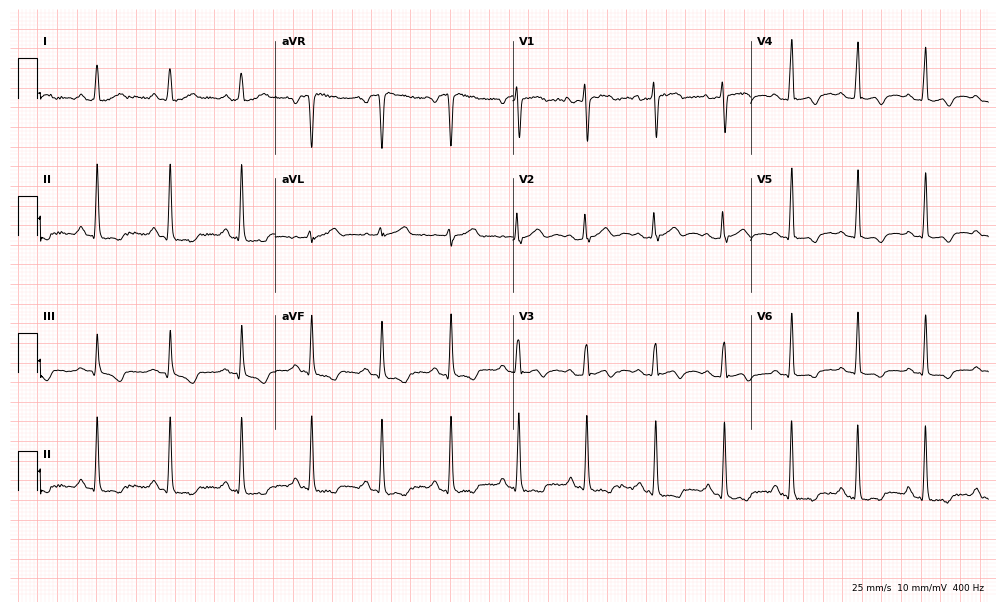
Resting 12-lead electrocardiogram (9.7-second recording at 400 Hz). Patient: a 39-year-old female. None of these six findings is recorded: first-degree AV block, right bundle branch block, left bundle branch block, sinus bradycardia, atrial fibrillation, sinus tachycardia.